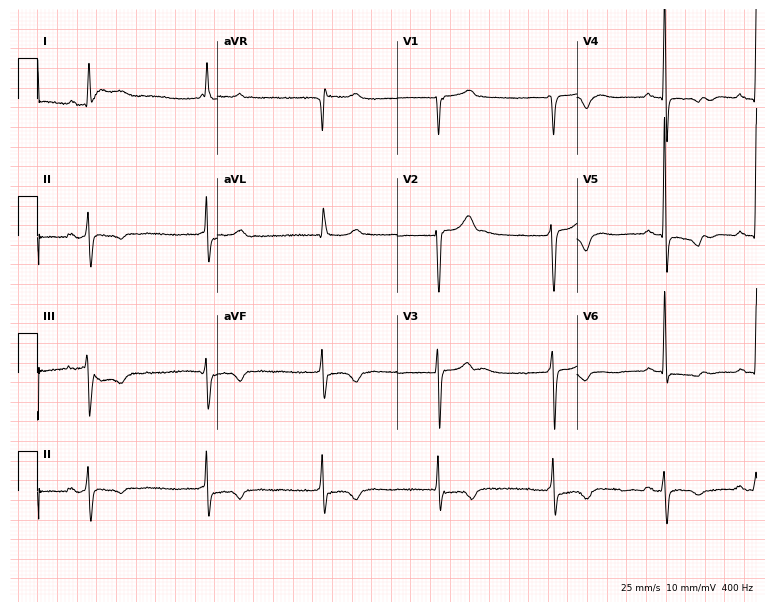
ECG — an 82-year-old female patient. Screened for six findings — first-degree AV block, right bundle branch block, left bundle branch block, sinus bradycardia, atrial fibrillation, sinus tachycardia — none is recorded. Other findings, if any, are not listed.